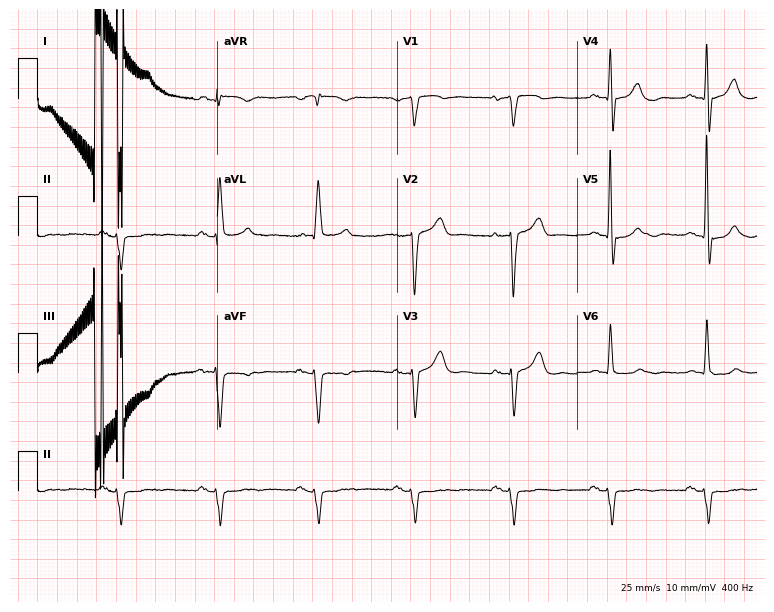
ECG — an 81-year-old male. Screened for six findings — first-degree AV block, right bundle branch block, left bundle branch block, sinus bradycardia, atrial fibrillation, sinus tachycardia — none is recorded. Findings outside these six are not listed.